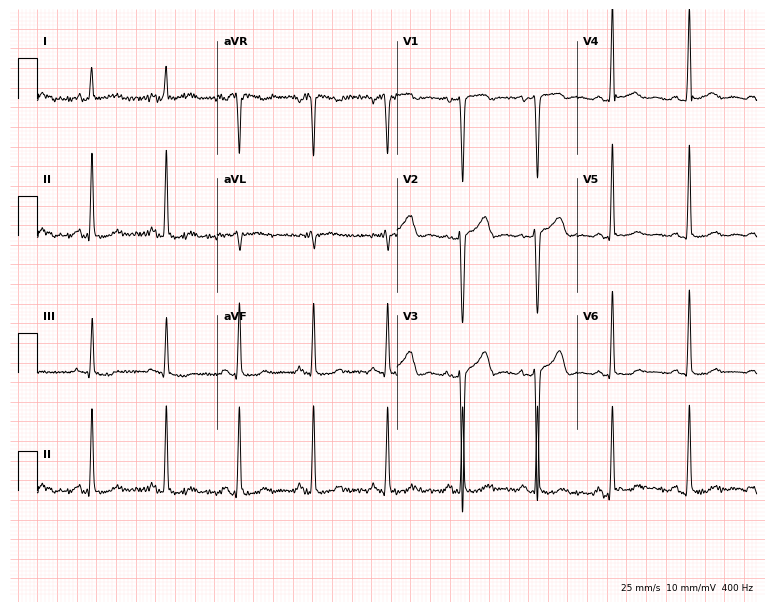
Standard 12-lead ECG recorded from a 35-year-old female. Read as a normal ECG.